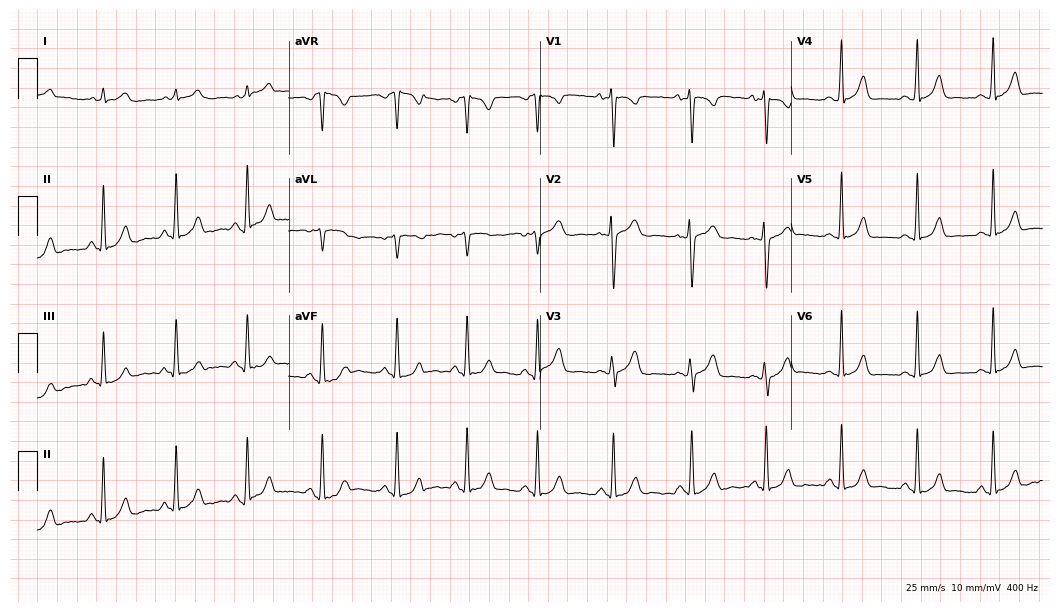
12-lead ECG (10.2-second recording at 400 Hz) from a female patient, 20 years old. Labelled as a normal ECG.